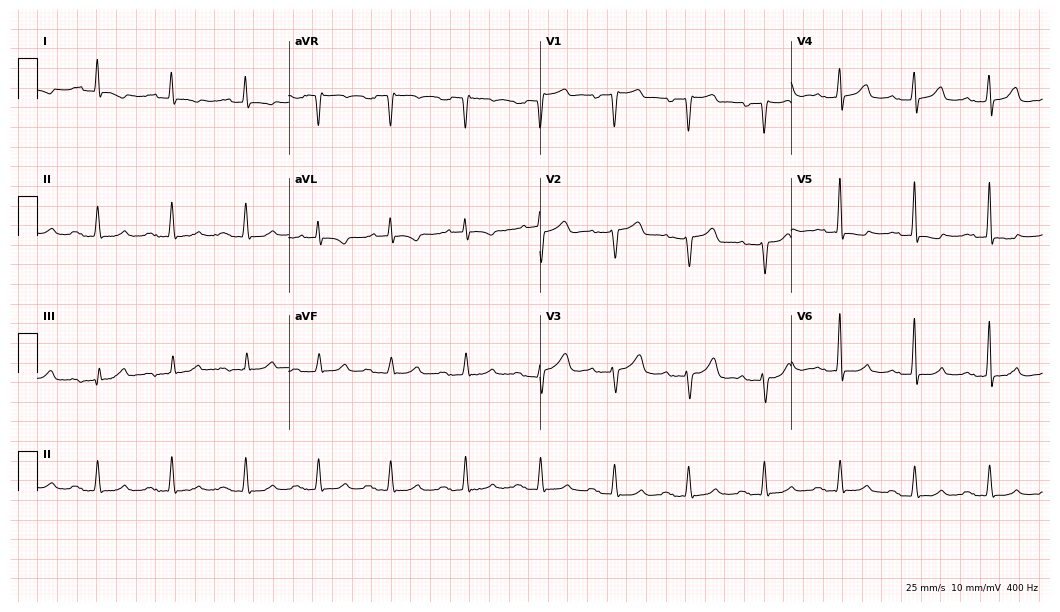
Standard 12-lead ECG recorded from an 82-year-old male (10.2-second recording at 400 Hz). None of these six findings is recorded: first-degree AV block, right bundle branch block (RBBB), left bundle branch block (LBBB), sinus bradycardia, atrial fibrillation (AF), sinus tachycardia.